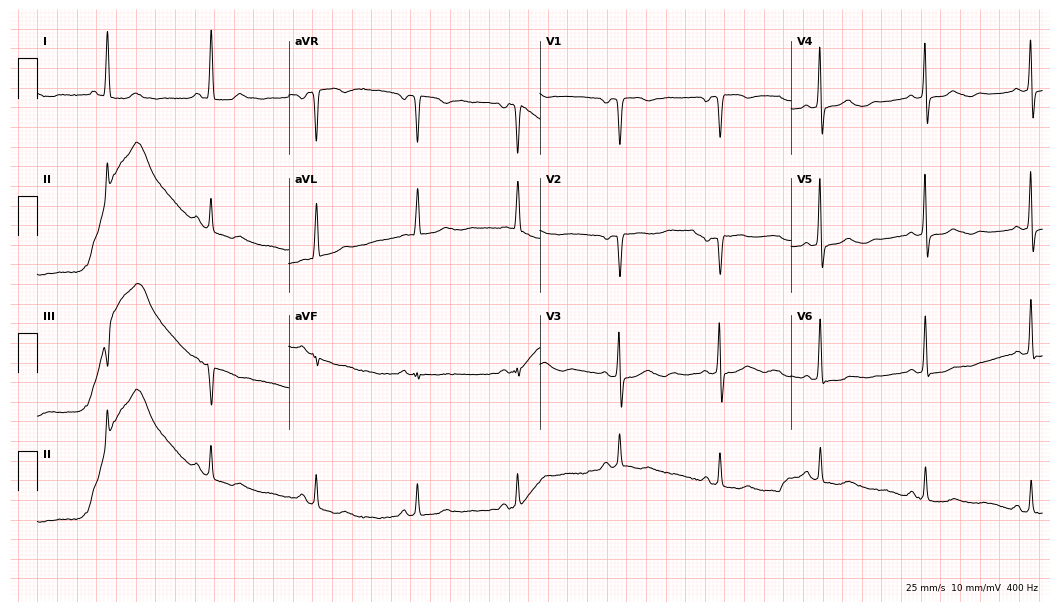
Resting 12-lead electrocardiogram. Patient: a 50-year-old female. None of these six findings is recorded: first-degree AV block, right bundle branch block, left bundle branch block, sinus bradycardia, atrial fibrillation, sinus tachycardia.